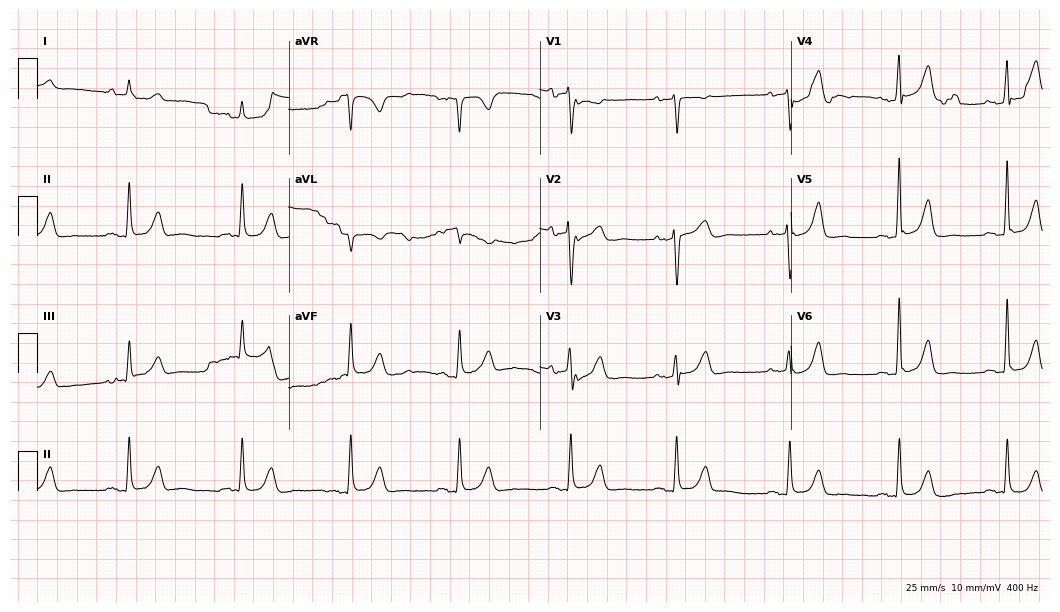
Resting 12-lead electrocardiogram (10.2-second recording at 400 Hz). Patient: a female, 68 years old. Read as a normal ECG.